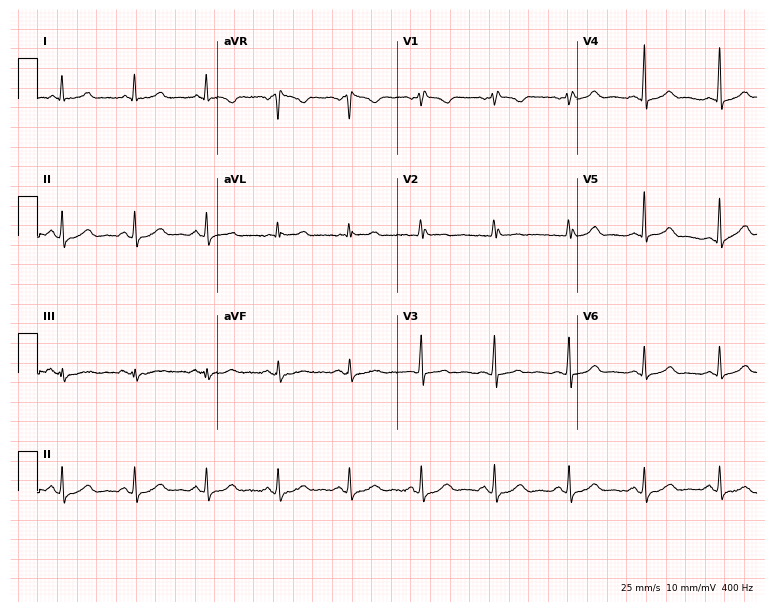
12-lead ECG from a female patient, 58 years old (7.3-second recording at 400 Hz). No first-degree AV block, right bundle branch block (RBBB), left bundle branch block (LBBB), sinus bradycardia, atrial fibrillation (AF) or sinus tachycardia recorded for this tracing. Only these six findings were labelled.